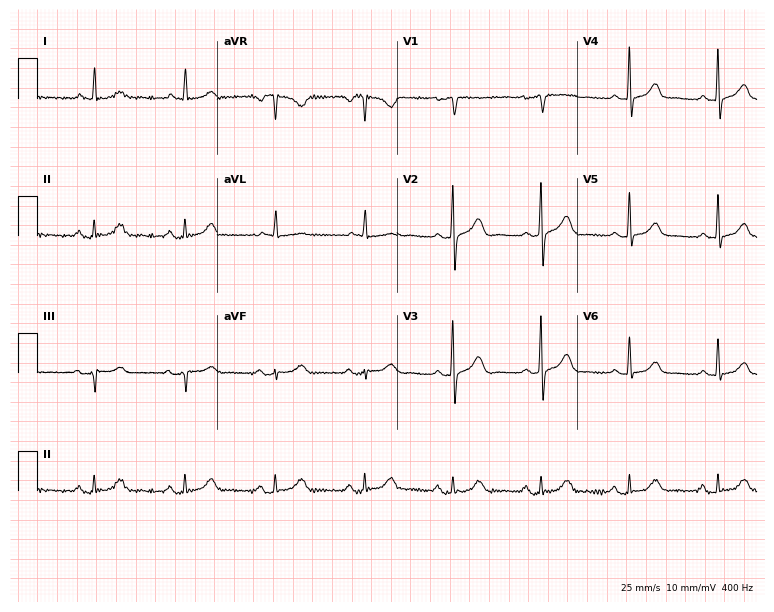
12-lead ECG (7.3-second recording at 400 Hz) from a female, 68 years old. Screened for six findings — first-degree AV block, right bundle branch block (RBBB), left bundle branch block (LBBB), sinus bradycardia, atrial fibrillation (AF), sinus tachycardia — none is recorded. Findings outside these six are not listed.